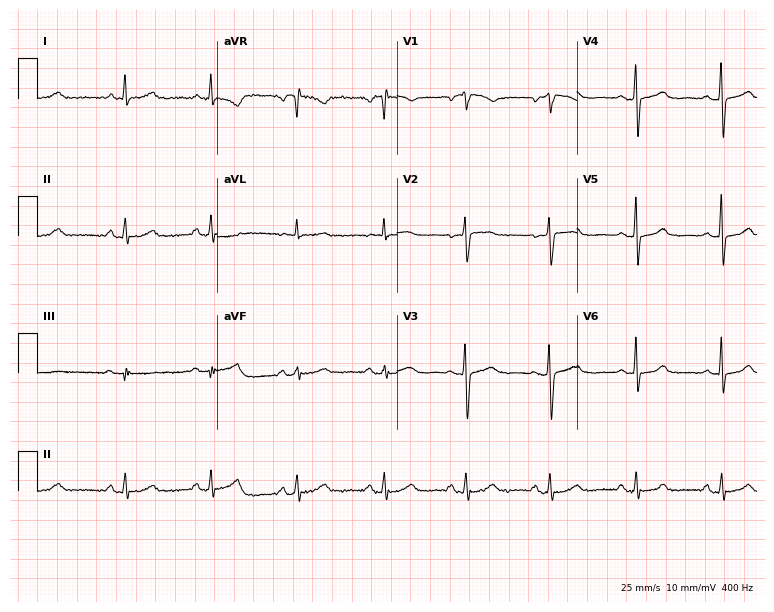
ECG (7.3-second recording at 400 Hz) — a 51-year-old female. Labelled as a normal ECG.